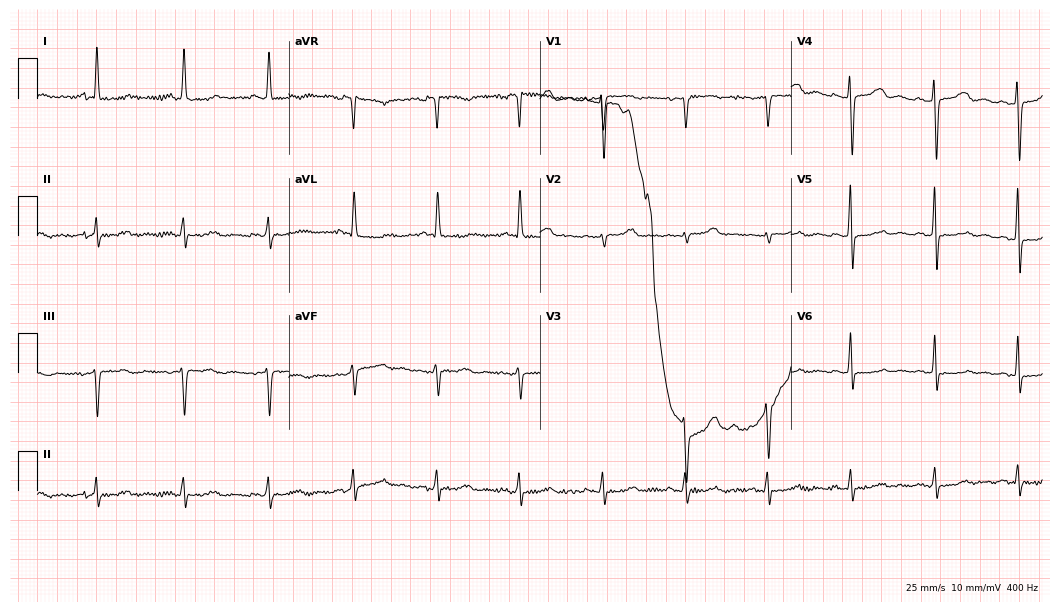
ECG (10.2-second recording at 400 Hz) — a 63-year-old female. Screened for six findings — first-degree AV block, right bundle branch block, left bundle branch block, sinus bradycardia, atrial fibrillation, sinus tachycardia — none is recorded. Only these six findings were labelled.